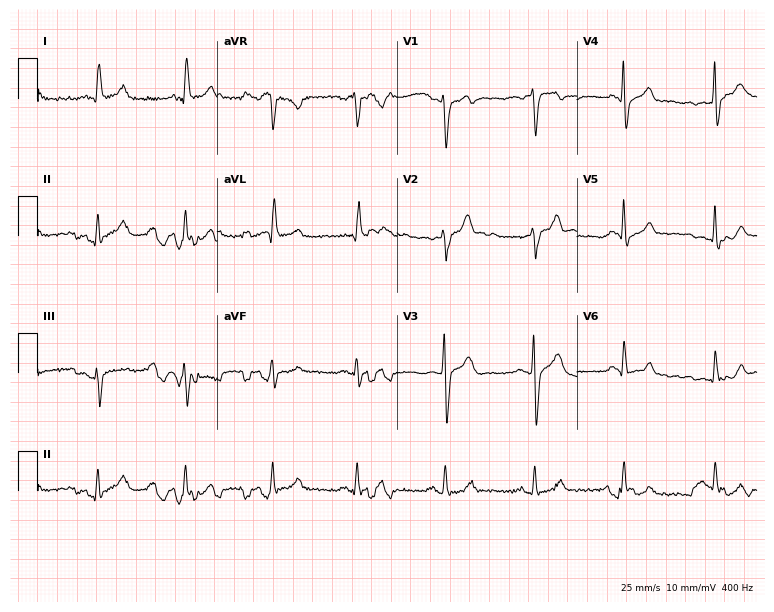
ECG (7.3-second recording at 400 Hz) — a man, 51 years old. Screened for six findings — first-degree AV block, right bundle branch block, left bundle branch block, sinus bradycardia, atrial fibrillation, sinus tachycardia — none is recorded.